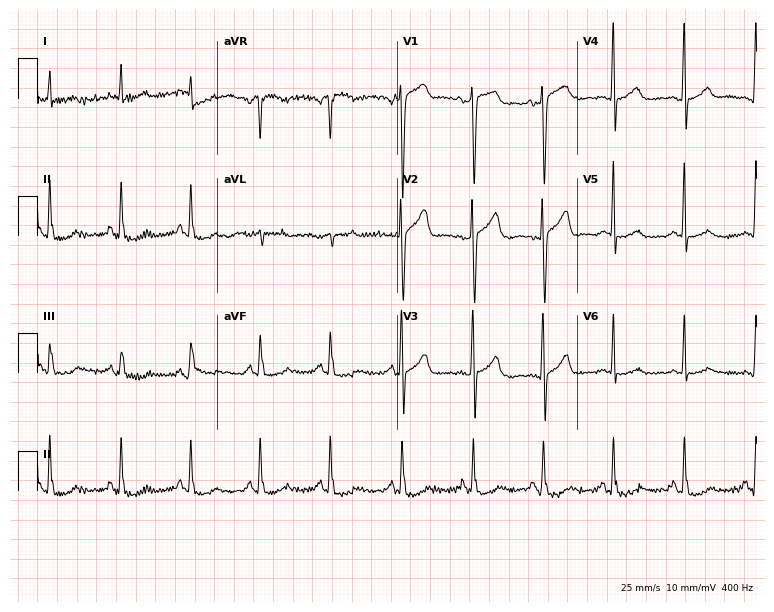
12-lead ECG (7.3-second recording at 400 Hz) from a man, 70 years old. Screened for six findings — first-degree AV block, right bundle branch block, left bundle branch block, sinus bradycardia, atrial fibrillation, sinus tachycardia — none is recorded. Other findings, if any, are not listed.